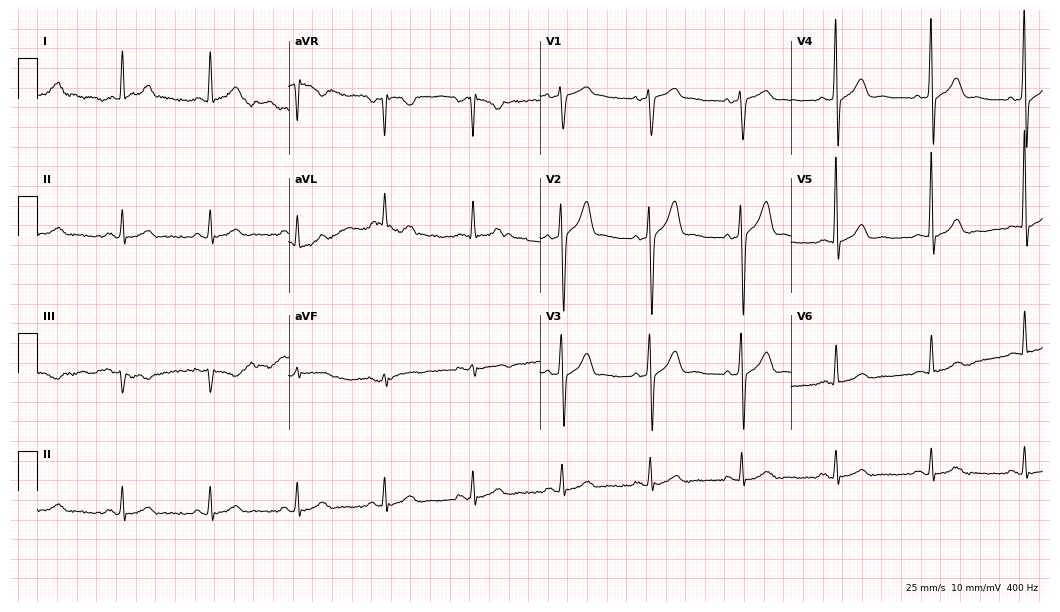
12-lead ECG from a male patient, 52 years old. No first-degree AV block, right bundle branch block, left bundle branch block, sinus bradycardia, atrial fibrillation or sinus tachycardia recorded for this tracing.